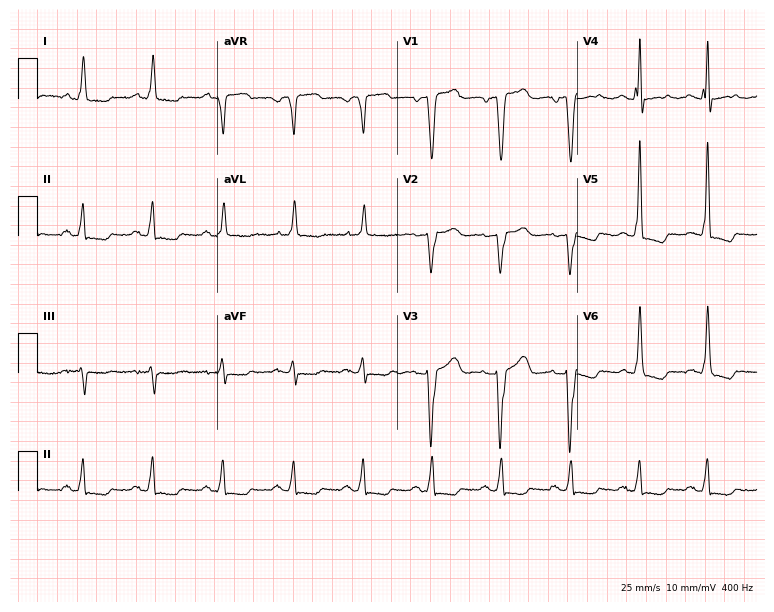
Standard 12-lead ECG recorded from a female, 47 years old. None of these six findings is recorded: first-degree AV block, right bundle branch block (RBBB), left bundle branch block (LBBB), sinus bradycardia, atrial fibrillation (AF), sinus tachycardia. Other findings, if any, are not listed.